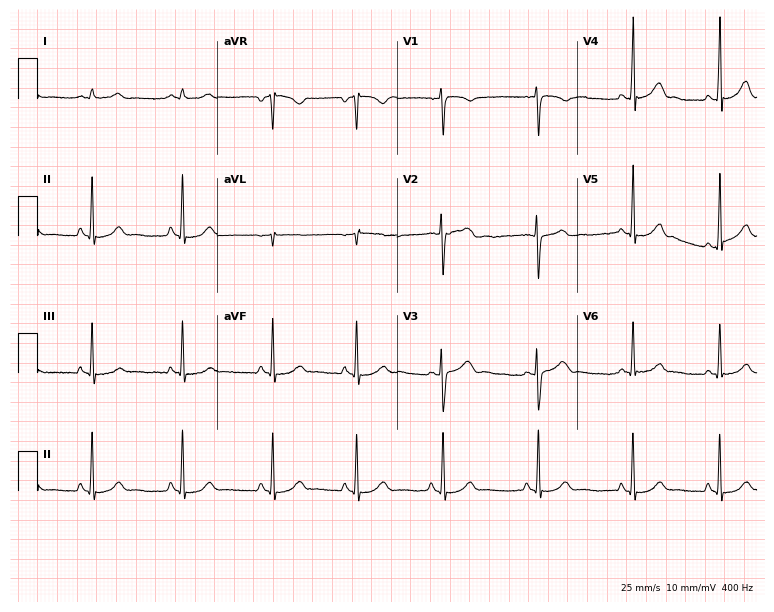
12-lead ECG from a 26-year-old female patient (7.3-second recording at 400 Hz). No first-degree AV block, right bundle branch block, left bundle branch block, sinus bradycardia, atrial fibrillation or sinus tachycardia recorded for this tracing. Other findings, if any, are not listed.